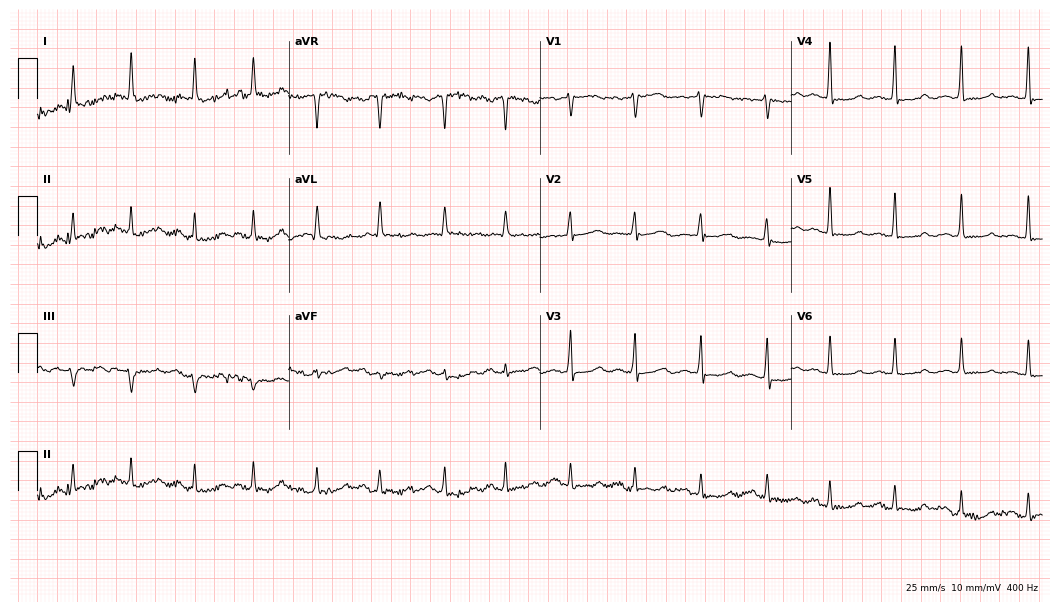
12-lead ECG from a woman, 65 years old. Screened for six findings — first-degree AV block, right bundle branch block, left bundle branch block, sinus bradycardia, atrial fibrillation, sinus tachycardia — none is recorded.